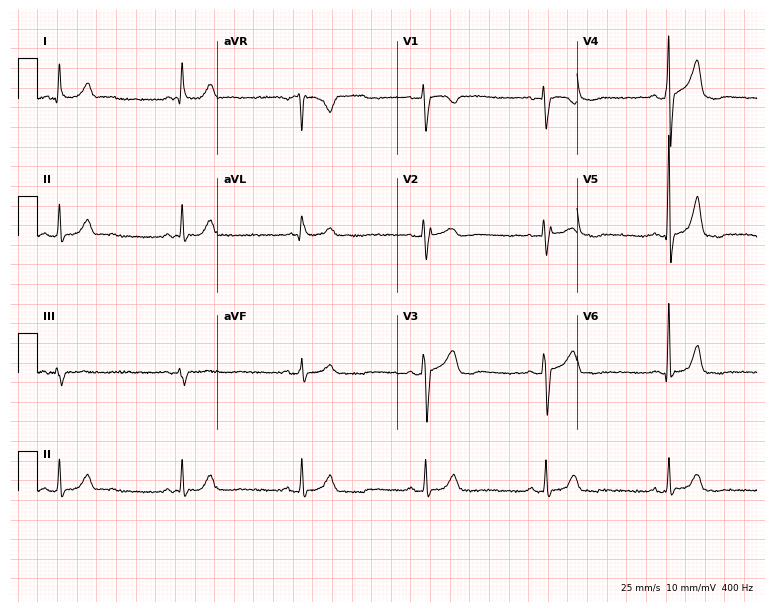
Electrocardiogram, a male, 64 years old. Interpretation includes sinus bradycardia (a sinus rate of 50 beats per minute or less).